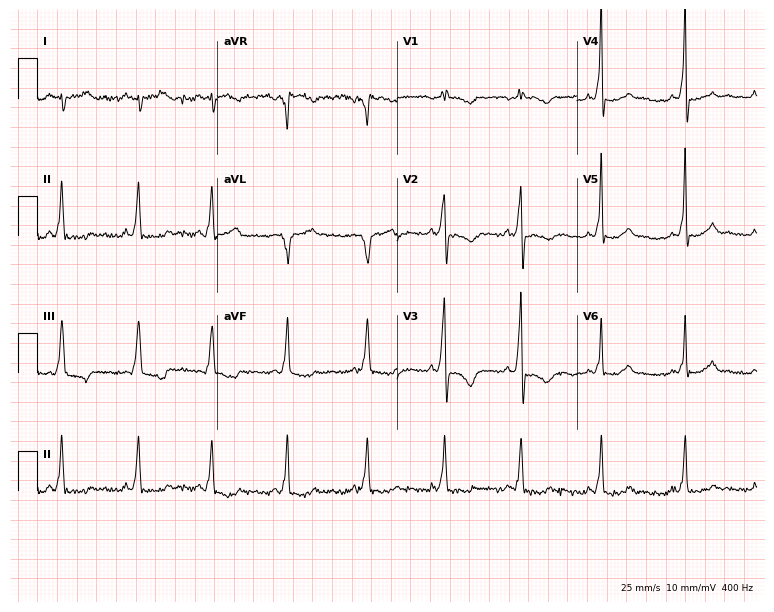
12-lead ECG from a man, 50 years old. Screened for six findings — first-degree AV block, right bundle branch block, left bundle branch block, sinus bradycardia, atrial fibrillation, sinus tachycardia — none is recorded.